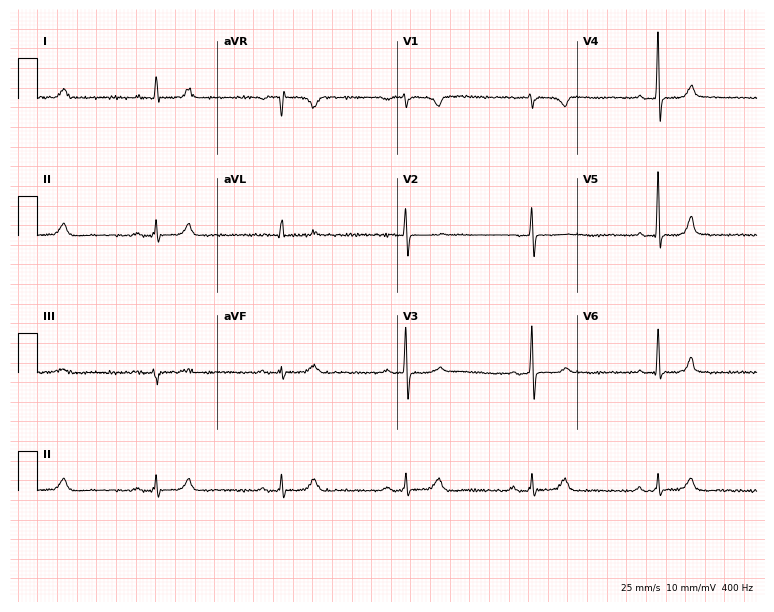
12-lead ECG (7.3-second recording at 400 Hz) from a male patient, 59 years old. Findings include sinus bradycardia (a sinus rate of 50 beats per minute or less).